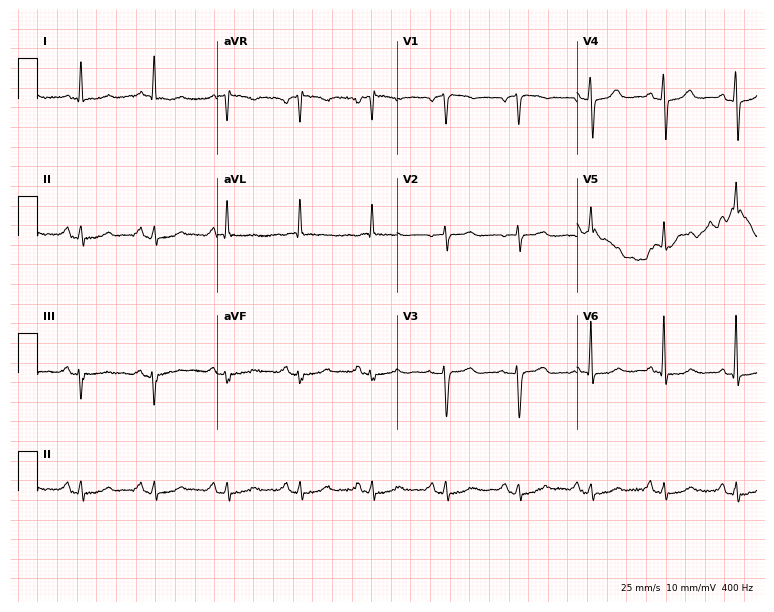
Standard 12-lead ECG recorded from a 74-year-old woman. None of these six findings is recorded: first-degree AV block, right bundle branch block, left bundle branch block, sinus bradycardia, atrial fibrillation, sinus tachycardia. Only these six findings were labelled.